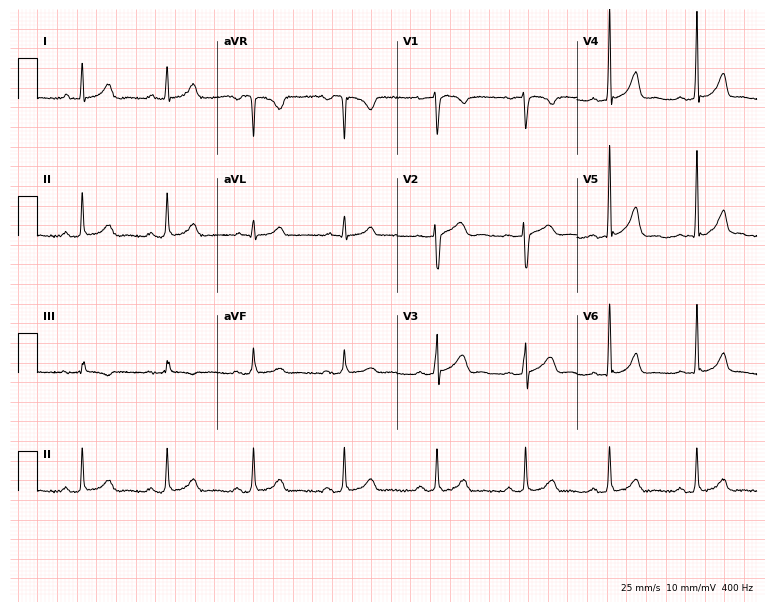
12-lead ECG from a female, 35 years old. Recorded interpretation: within normal limits.